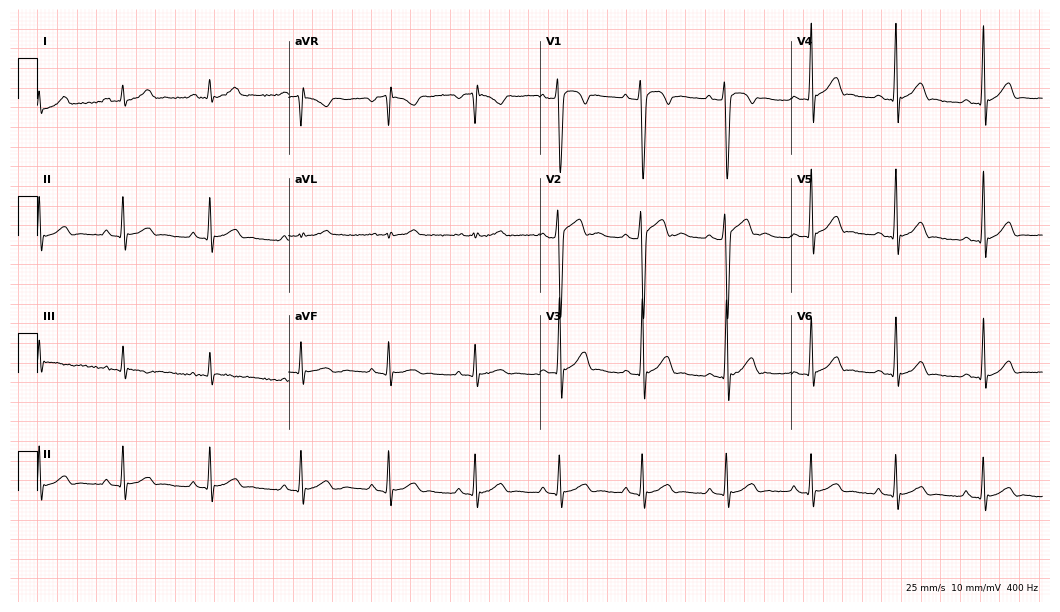
ECG — a 19-year-old man. Labelled as a normal ECG.